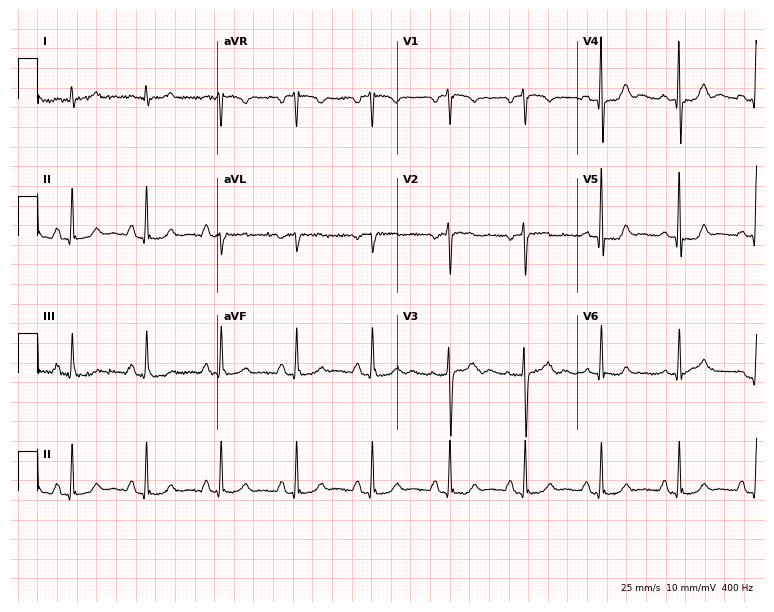
12-lead ECG from a male patient, 61 years old. Labelled as a normal ECG.